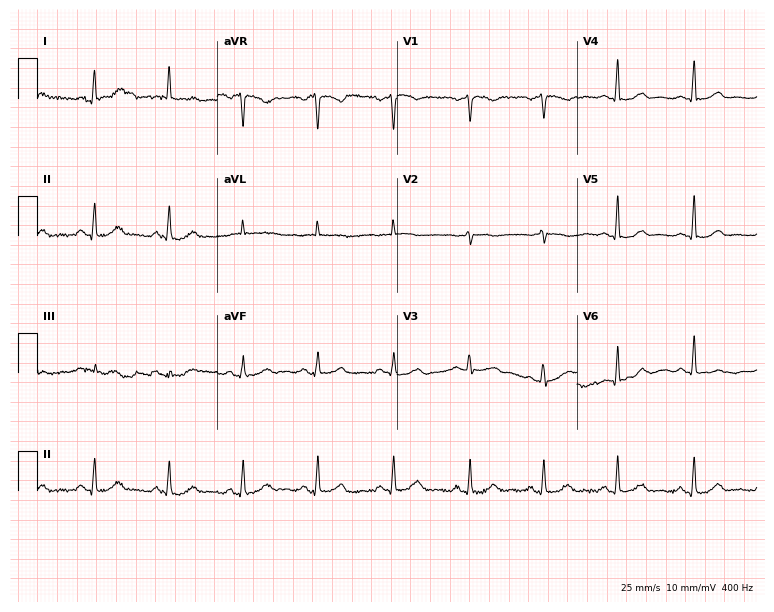
Resting 12-lead electrocardiogram (7.3-second recording at 400 Hz). Patient: a woman, 63 years old. None of these six findings is recorded: first-degree AV block, right bundle branch block, left bundle branch block, sinus bradycardia, atrial fibrillation, sinus tachycardia.